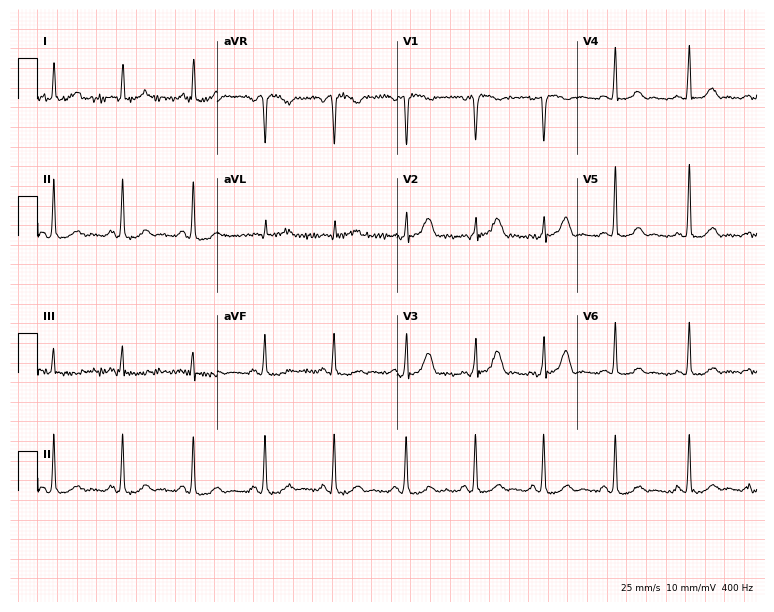
12-lead ECG (7.3-second recording at 400 Hz) from a 55-year-old woman. Labelled as a normal ECG.